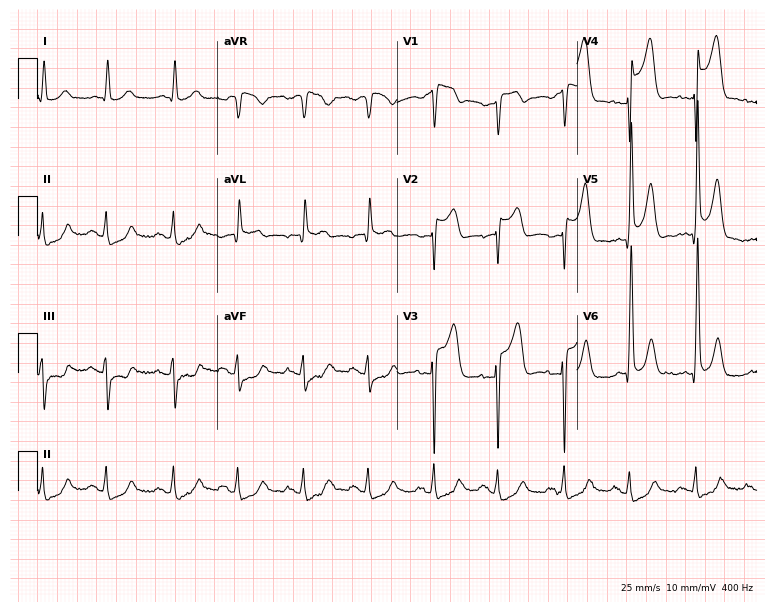
Resting 12-lead electrocardiogram. Patient: a male, 74 years old. None of these six findings is recorded: first-degree AV block, right bundle branch block, left bundle branch block, sinus bradycardia, atrial fibrillation, sinus tachycardia. Other findings, if any, are not listed.